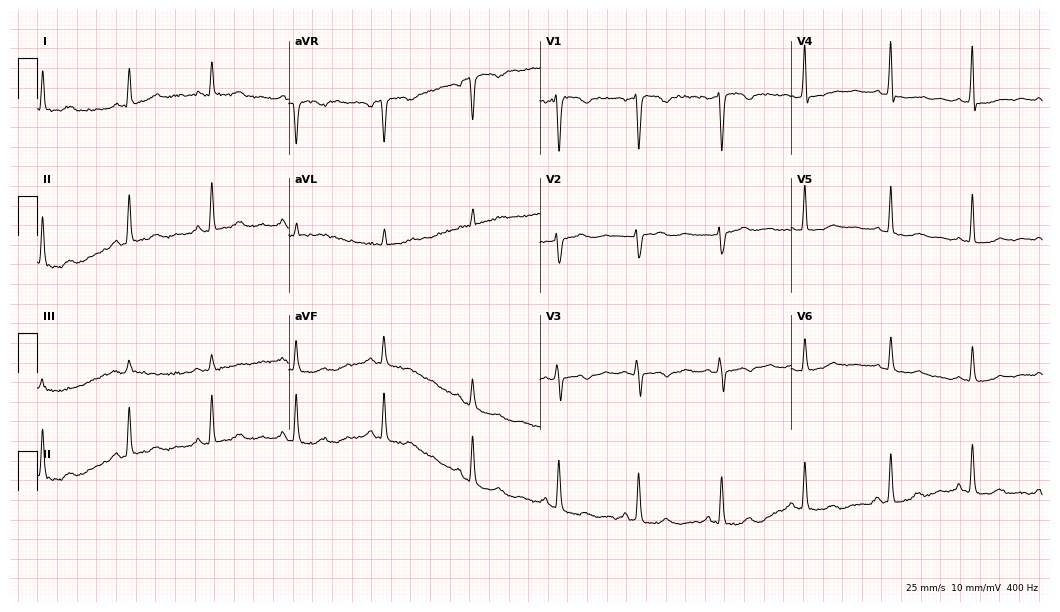
Standard 12-lead ECG recorded from a 55-year-old female. None of these six findings is recorded: first-degree AV block, right bundle branch block, left bundle branch block, sinus bradycardia, atrial fibrillation, sinus tachycardia. Only these six findings were labelled.